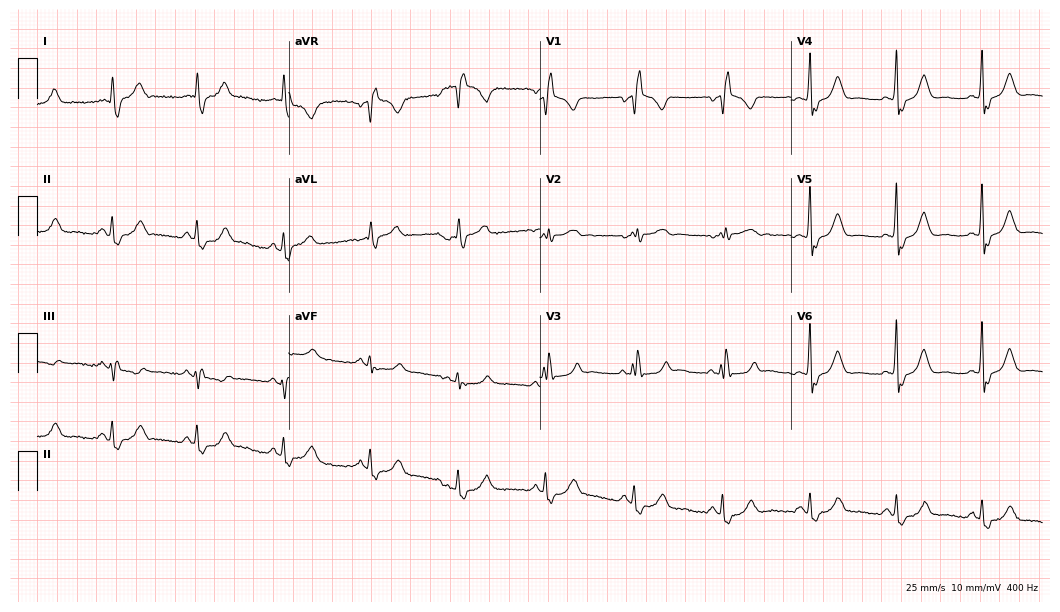
12-lead ECG from a 68-year-old female patient. No first-degree AV block, right bundle branch block, left bundle branch block, sinus bradycardia, atrial fibrillation or sinus tachycardia recorded for this tracing. Findings outside these six are not listed.